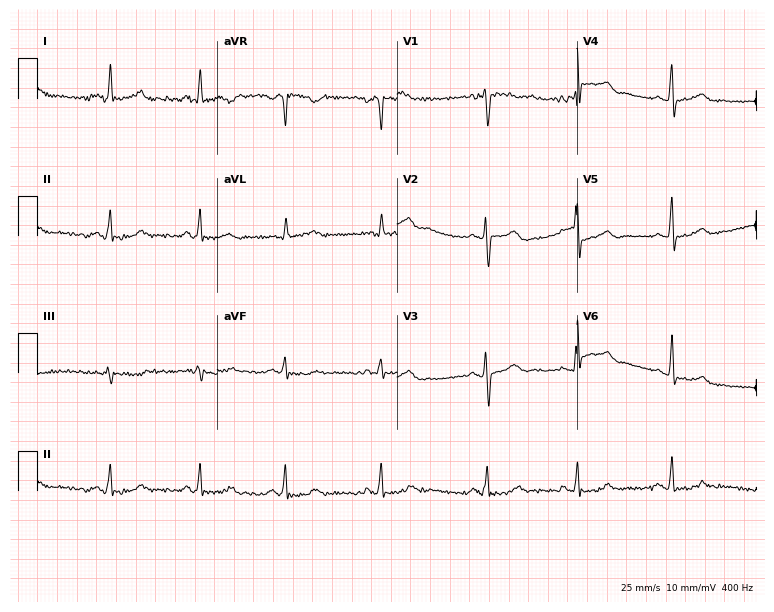
12-lead ECG from a 37-year-old woman (7.3-second recording at 400 Hz). No first-degree AV block, right bundle branch block (RBBB), left bundle branch block (LBBB), sinus bradycardia, atrial fibrillation (AF) or sinus tachycardia recorded for this tracing.